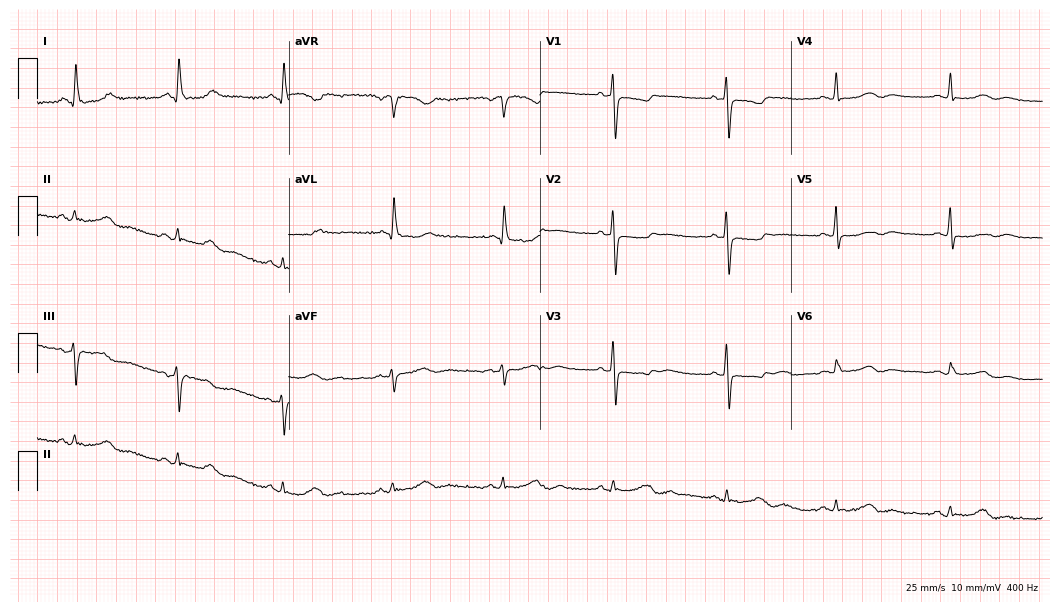
12-lead ECG from a female, 59 years old (10.2-second recording at 400 Hz). No first-degree AV block, right bundle branch block, left bundle branch block, sinus bradycardia, atrial fibrillation or sinus tachycardia recorded for this tracing. Findings outside these six are not listed.